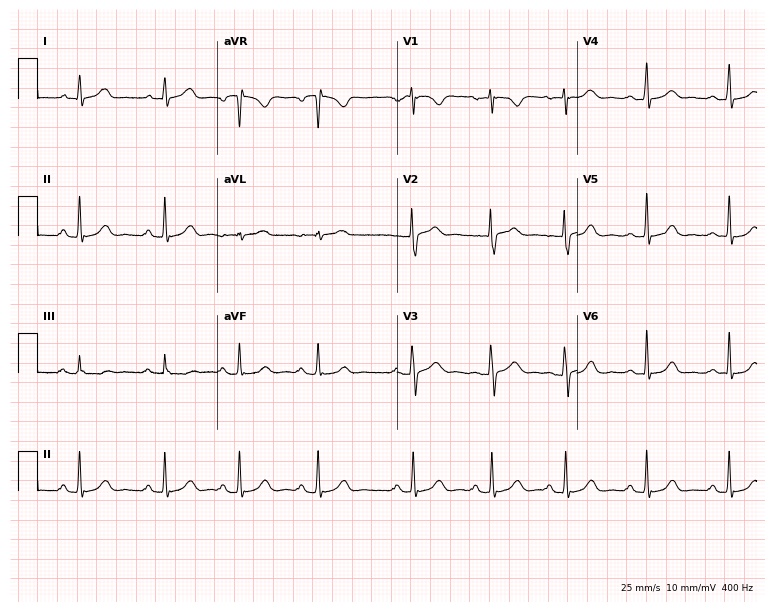
12-lead ECG (7.3-second recording at 400 Hz) from a female patient, 28 years old. Labelled as a normal ECG.